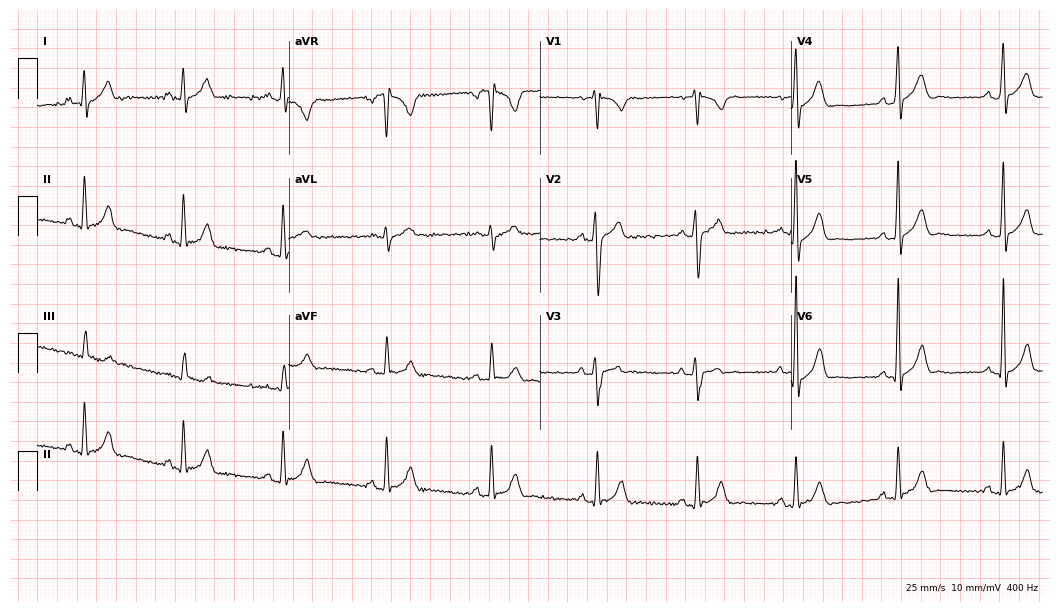
Standard 12-lead ECG recorded from a male patient, 20 years old. Read as a normal ECG.